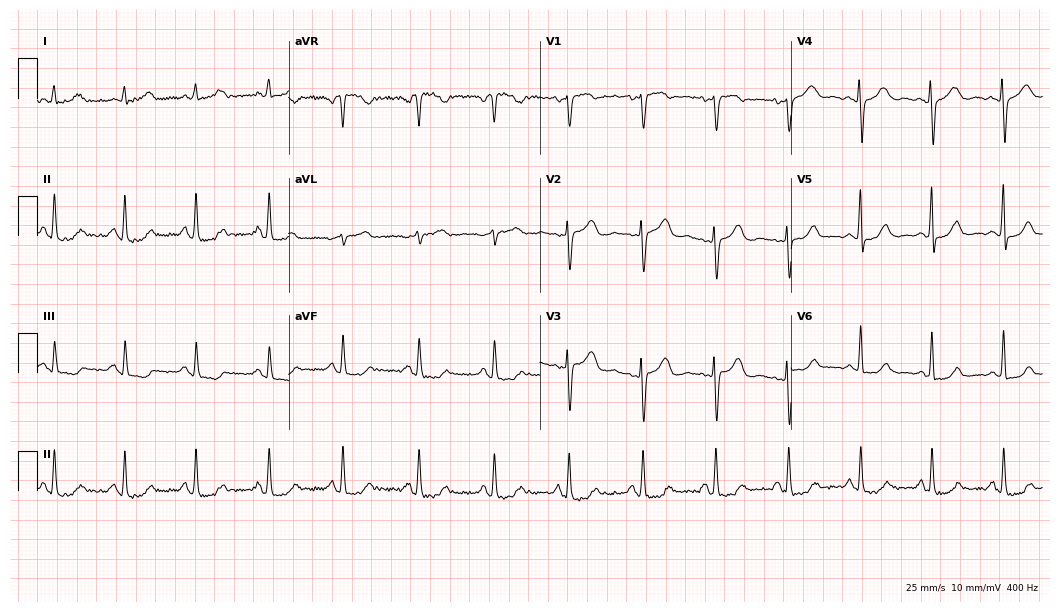
12-lead ECG from a 63-year-old female patient (10.2-second recording at 400 Hz). No first-degree AV block, right bundle branch block, left bundle branch block, sinus bradycardia, atrial fibrillation or sinus tachycardia recorded for this tracing.